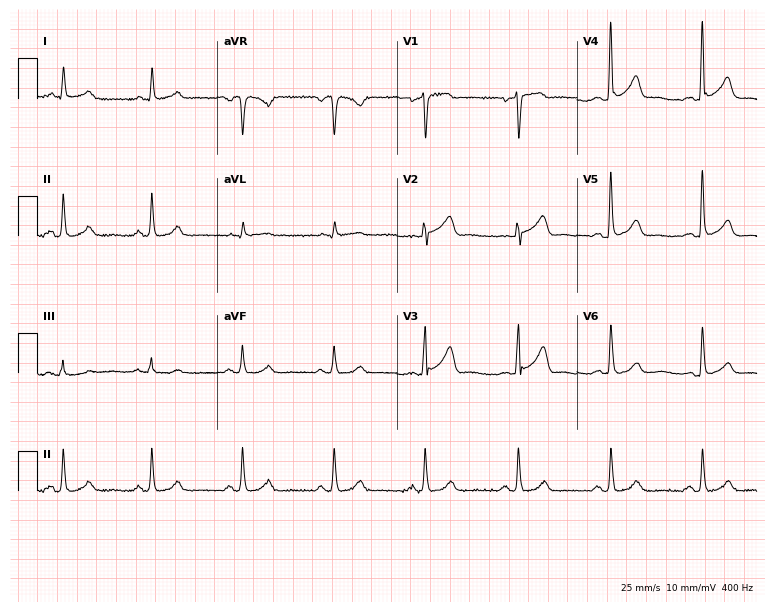
12-lead ECG from a 49-year-old male patient. Screened for six findings — first-degree AV block, right bundle branch block, left bundle branch block, sinus bradycardia, atrial fibrillation, sinus tachycardia — none is recorded. Other findings, if any, are not listed.